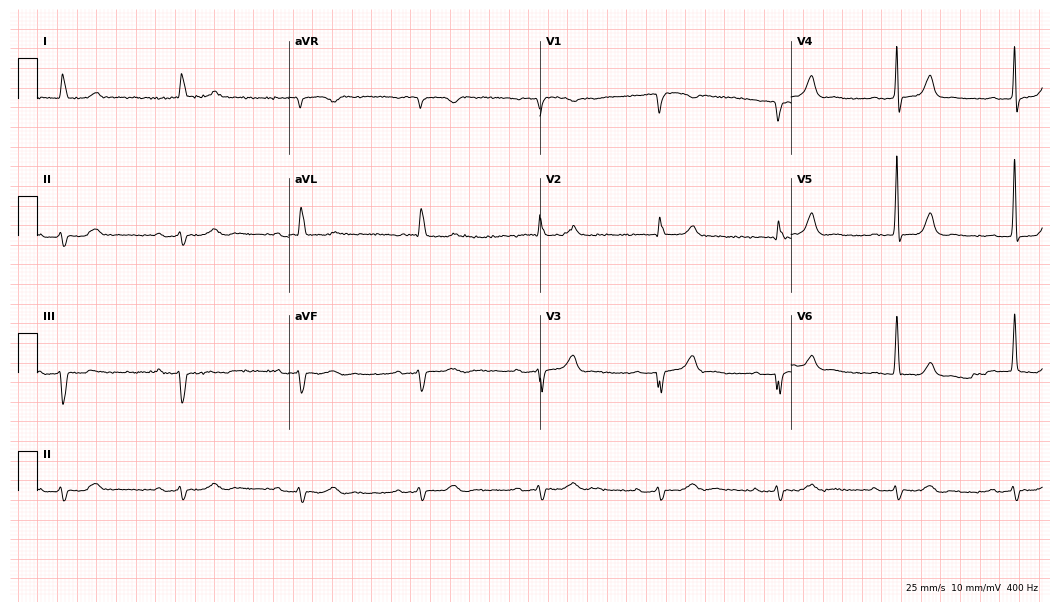
Resting 12-lead electrocardiogram (10.2-second recording at 400 Hz). Patient: a man, 84 years old. The tracing shows first-degree AV block, right bundle branch block, sinus bradycardia (a sinus rate of 50 beats per minute or less).